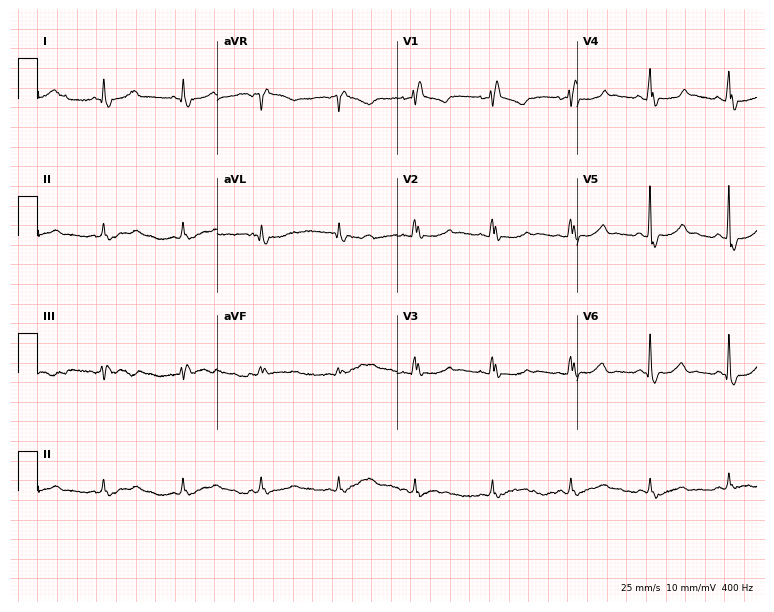
Standard 12-lead ECG recorded from a 65-year-old male patient. The tracing shows right bundle branch block.